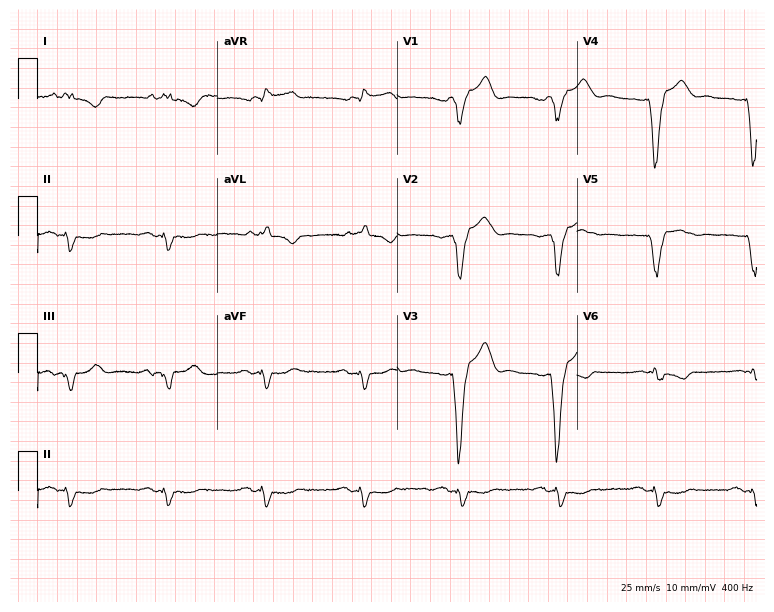
Electrocardiogram, a 63-year-old male patient. Interpretation includes left bundle branch block (LBBB).